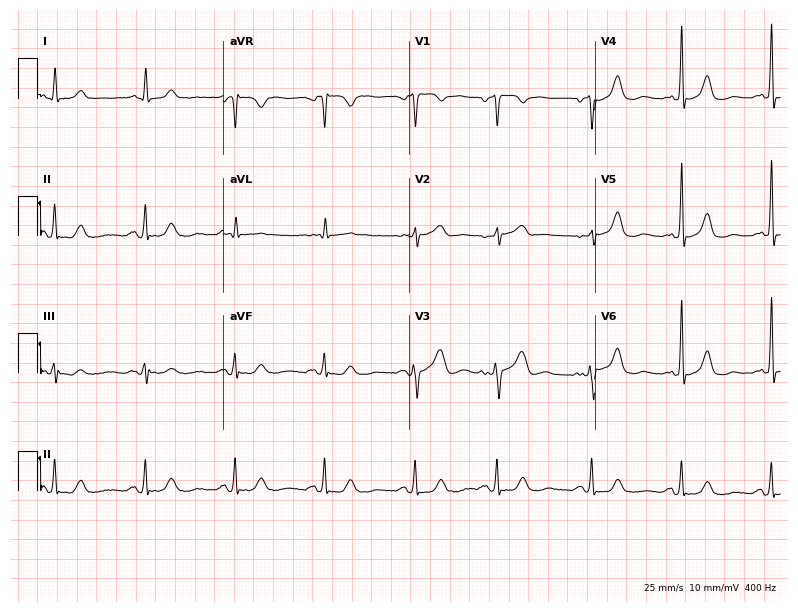
Standard 12-lead ECG recorded from a 75-year-old male (7.6-second recording at 400 Hz). Read as a normal ECG.